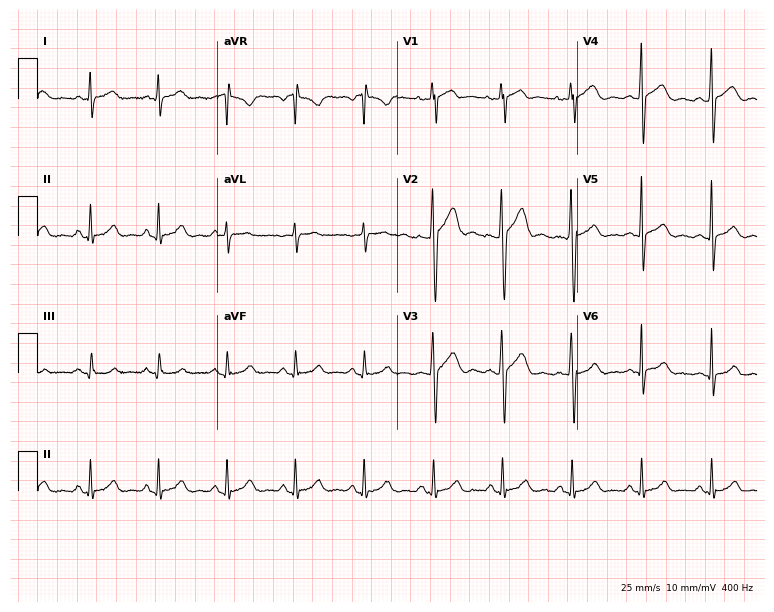
Resting 12-lead electrocardiogram (7.3-second recording at 400 Hz). Patient: a 39-year-old male. Read as a normal ECG.